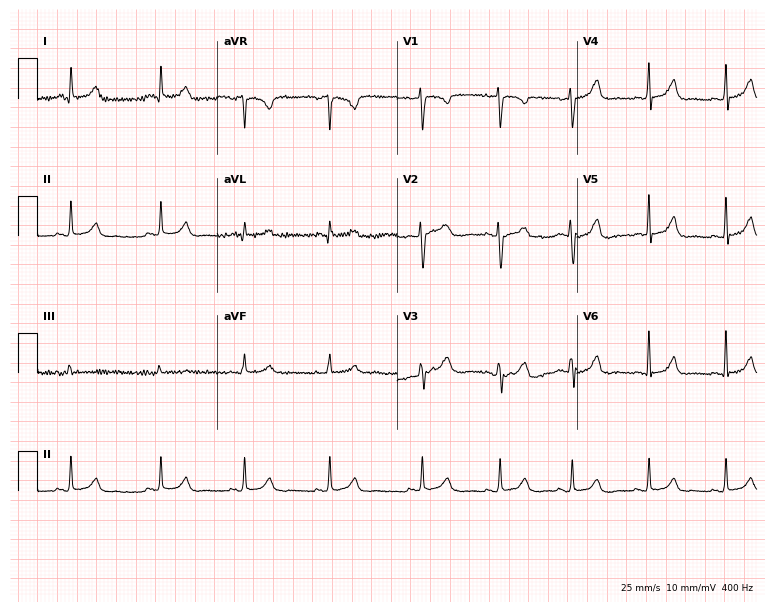
Electrocardiogram, a 32-year-old female patient. Overall reading on record: normal ECG.